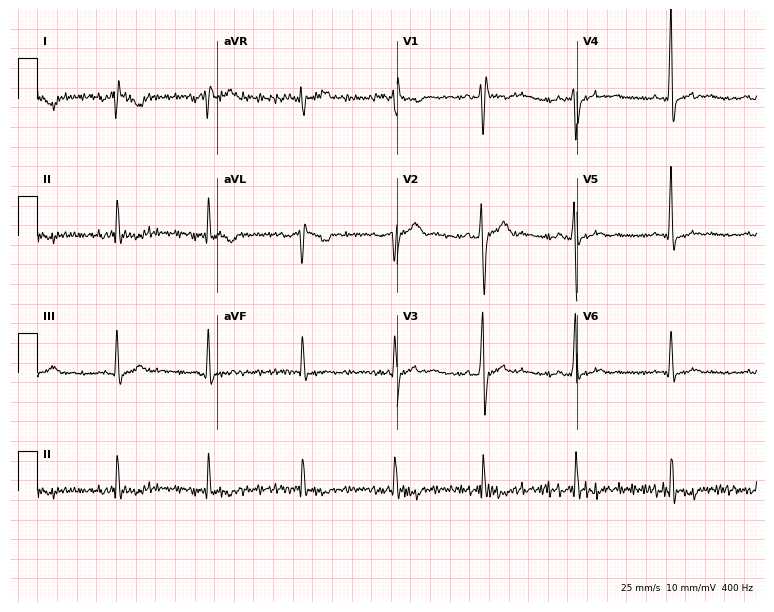
ECG (7.3-second recording at 400 Hz) — a female patient, 19 years old. Screened for six findings — first-degree AV block, right bundle branch block (RBBB), left bundle branch block (LBBB), sinus bradycardia, atrial fibrillation (AF), sinus tachycardia — none is recorded.